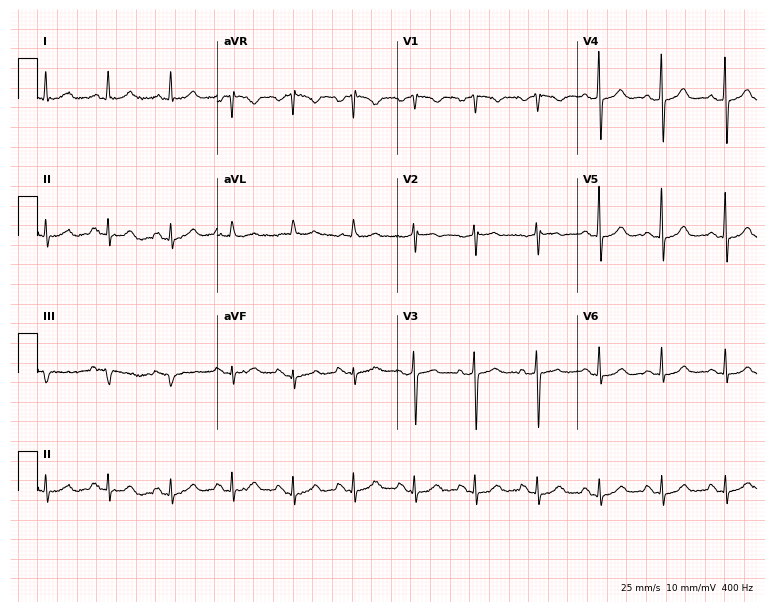
Standard 12-lead ECG recorded from a female, 75 years old. None of these six findings is recorded: first-degree AV block, right bundle branch block (RBBB), left bundle branch block (LBBB), sinus bradycardia, atrial fibrillation (AF), sinus tachycardia.